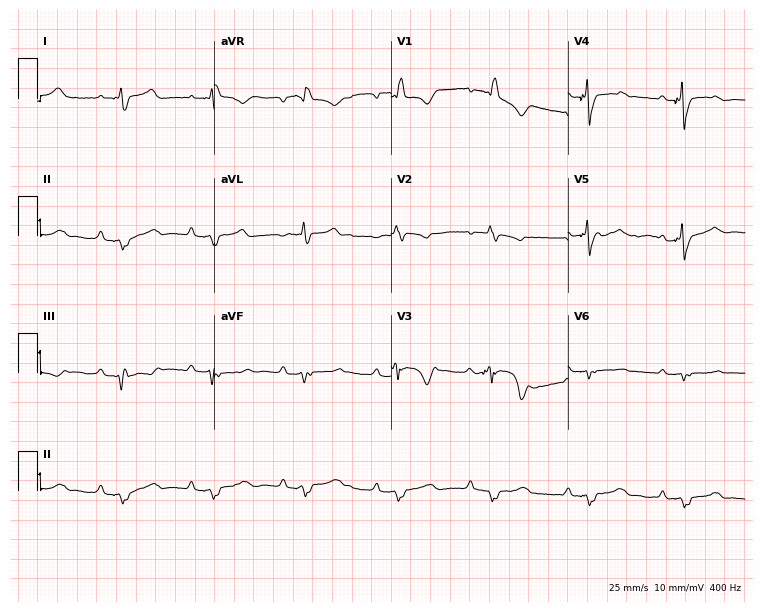
Electrocardiogram (7.2-second recording at 400 Hz), a female, 45 years old. Interpretation includes first-degree AV block.